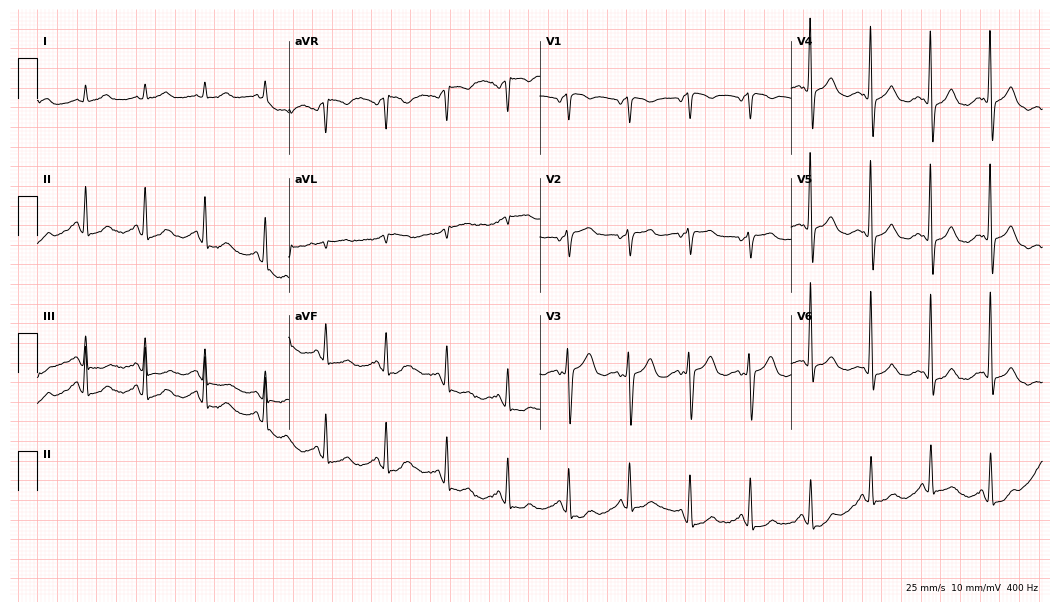
12-lead ECG from a 61-year-old female. Screened for six findings — first-degree AV block, right bundle branch block, left bundle branch block, sinus bradycardia, atrial fibrillation, sinus tachycardia — none is recorded.